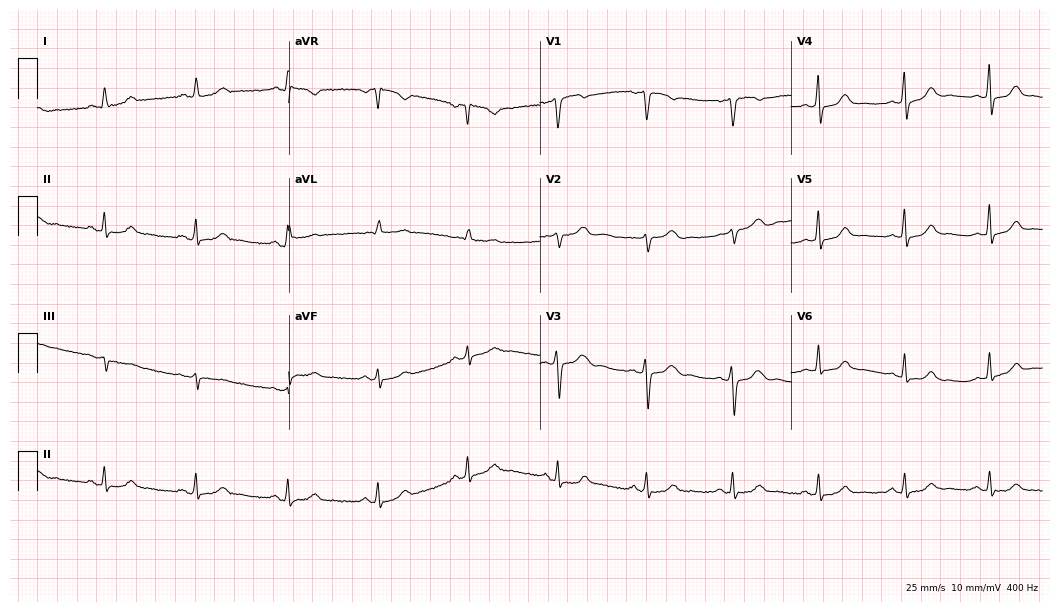
Electrocardiogram (10.2-second recording at 400 Hz), a female patient, 41 years old. Overall reading on record: normal ECG.